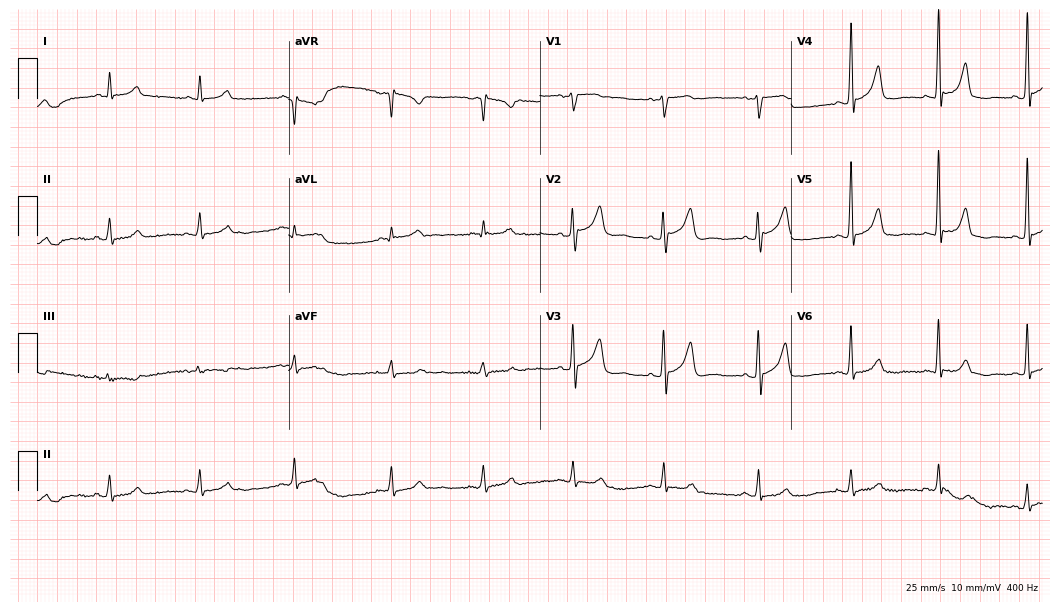
Standard 12-lead ECG recorded from a male, 71 years old (10.2-second recording at 400 Hz). Read as a normal ECG.